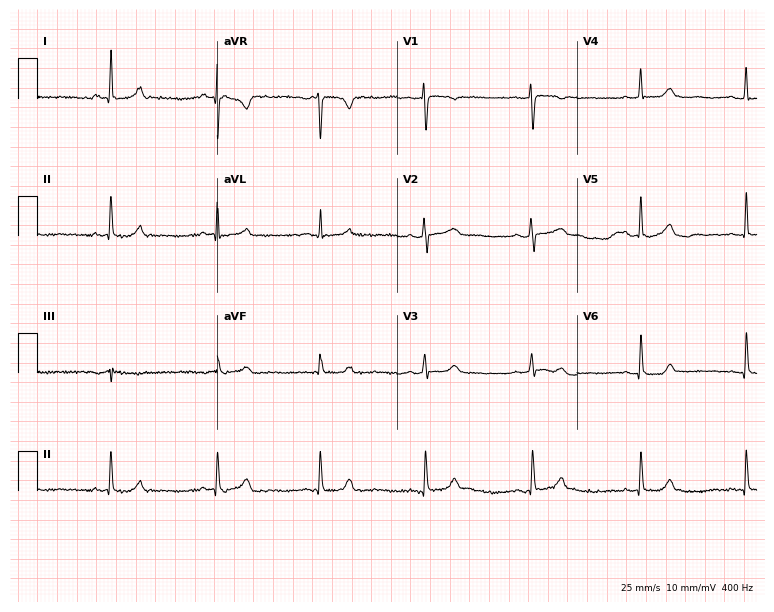
Electrocardiogram, a female patient, 44 years old. Overall reading on record: normal ECG.